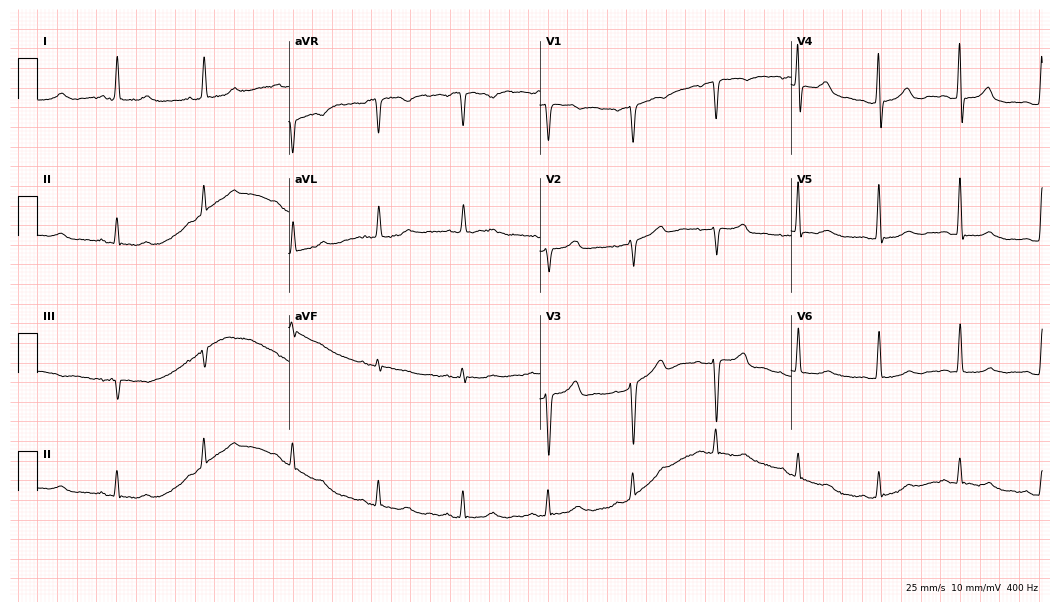
12-lead ECG from a female, 60 years old. Recorded interpretation: within normal limits.